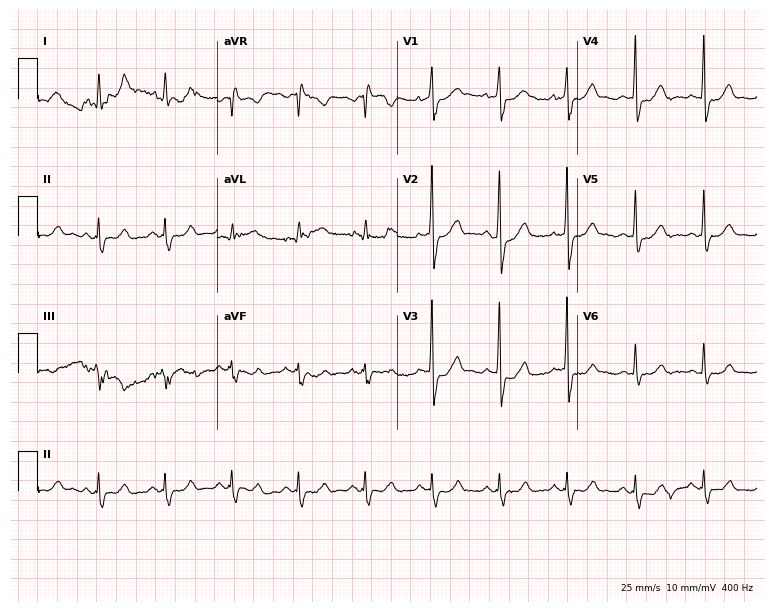
Resting 12-lead electrocardiogram. Patient: a 71-year-old male. None of these six findings is recorded: first-degree AV block, right bundle branch block, left bundle branch block, sinus bradycardia, atrial fibrillation, sinus tachycardia.